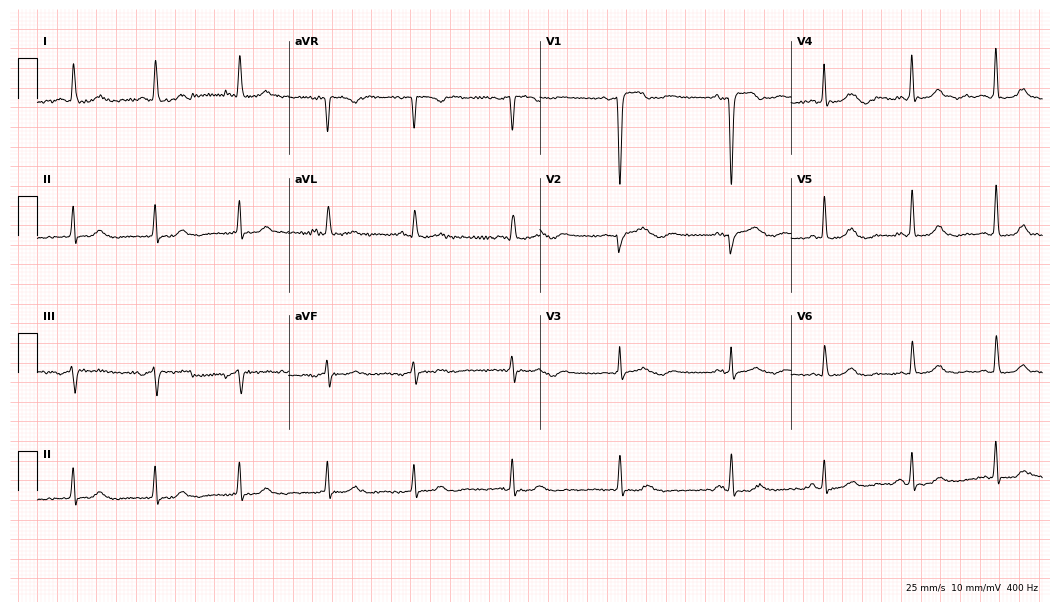
12-lead ECG from a 60-year-old female. No first-degree AV block, right bundle branch block, left bundle branch block, sinus bradycardia, atrial fibrillation or sinus tachycardia recorded for this tracing. Findings outside these six are not listed.